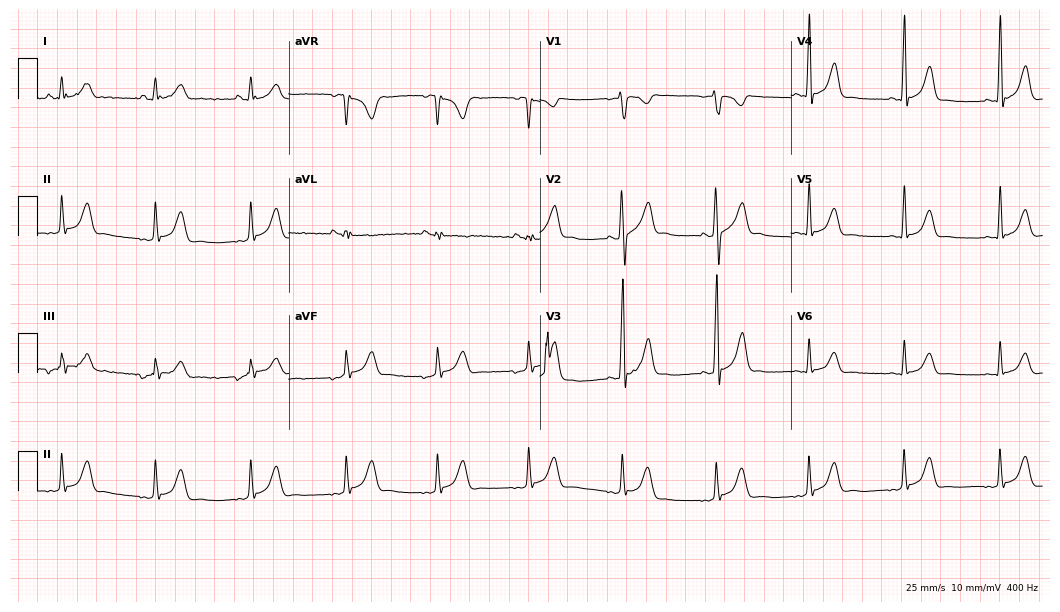
Standard 12-lead ECG recorded from a man, 18 years old (10.2-second recording at 400 Hz). None of these six findings is recorded: first-degree AV block, right bundle branch block, left bundle branch block, sinus bradycardia, atrial fibrillation, sinus tachycardia.